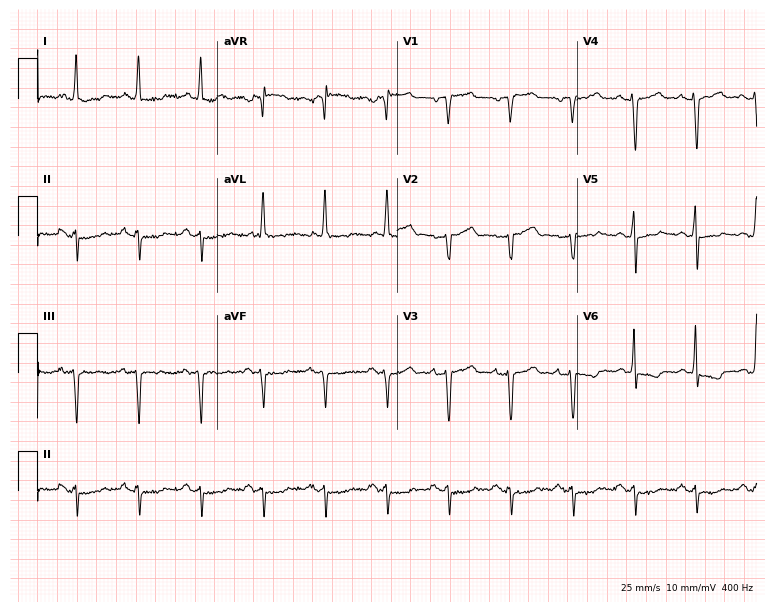
12-lead ECG from a male, 78 years old (7.3-second recording at 400 Hz). No first-degree AV block, right bundle branch block, left bundle branch block, sinus bradycardia, atrial fibrillation or sinus tachycardia recorded for this tracing.